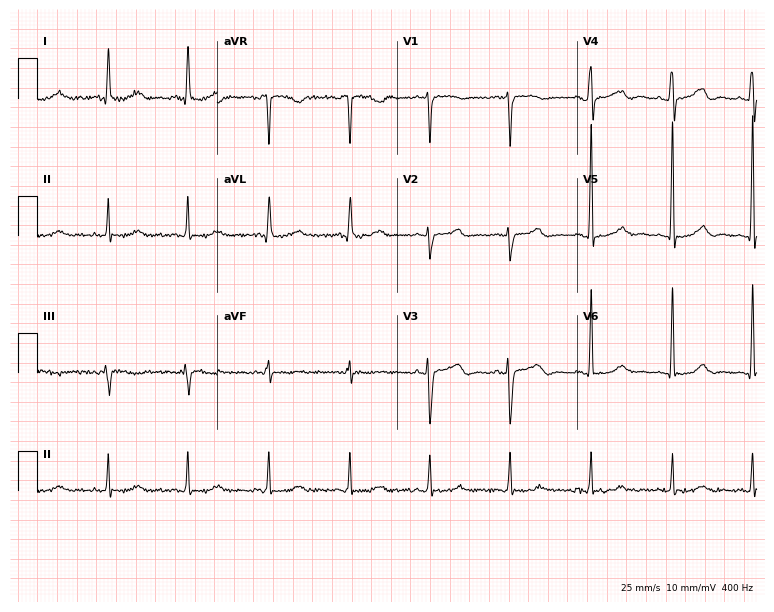
Resting 12-lead electrocardiogram. Patient: a 60-year-old female. None of these six findings is recorded: first-degree AV block, right bundle branch block (RBBB), left bundle branch block (LBBB), sinus bradycardia, atrial fibrillation (AF), sinus tachycardia.